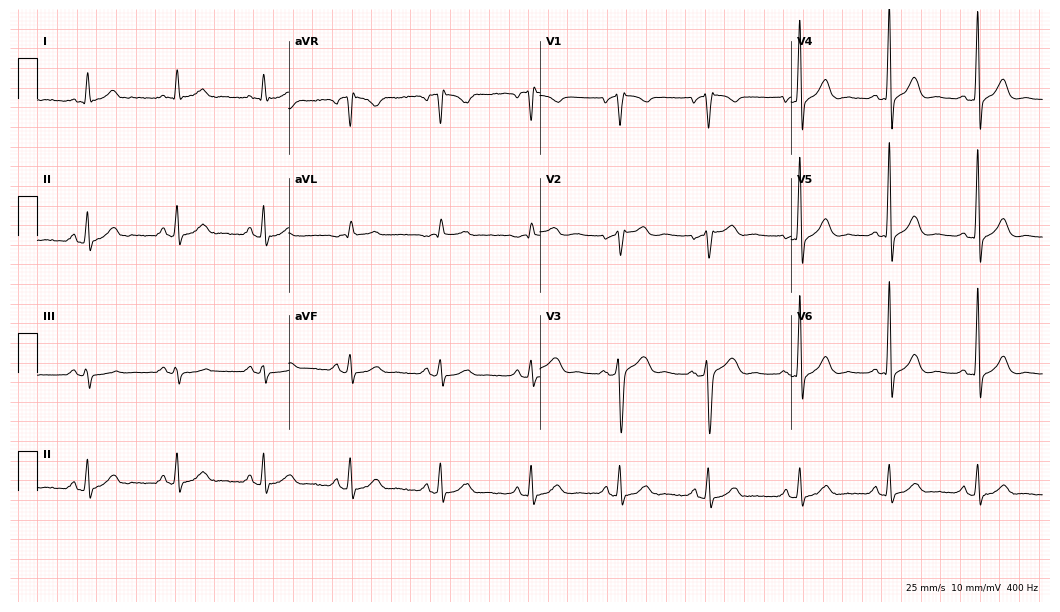
Standard 12-lead ECG recorded from a male patient, 52 years old. None of these six findings is recorded: first-degree AV block, right bundle branch block, left bundle branch block, sinus bradycardia, atrial fibrillation, sinus tachycardia. Only these six findings were labelled.